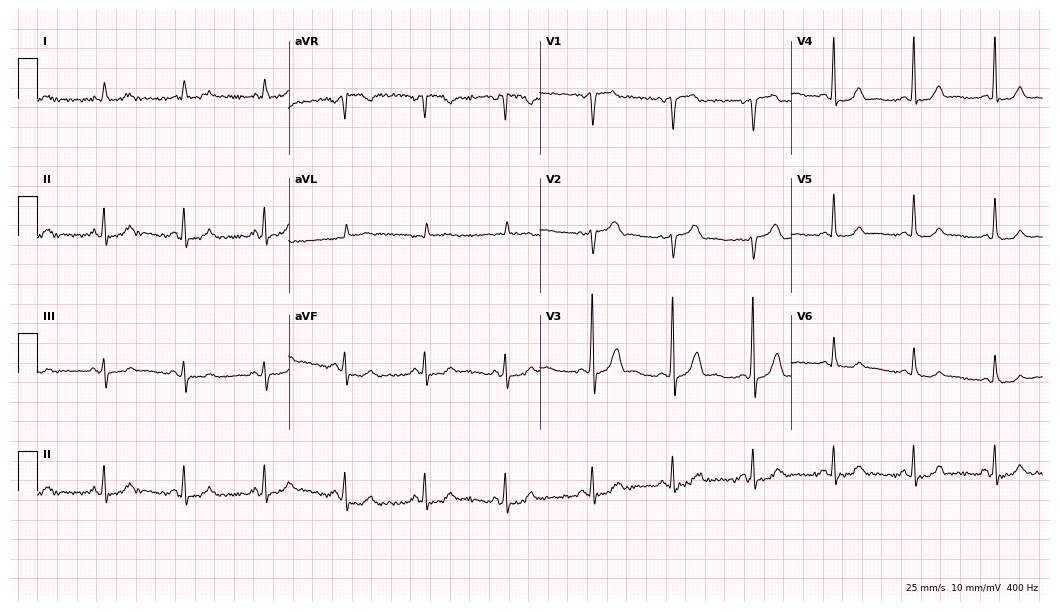
12-lead ECG from a 61-year-old male (10.2-second recording at 400 Hz). No first-degree AV block, right bundle branch block, left bundle branch block, sinus bradycardia, atrial fibrillation or sinus tachycardia recorded for this tracing.